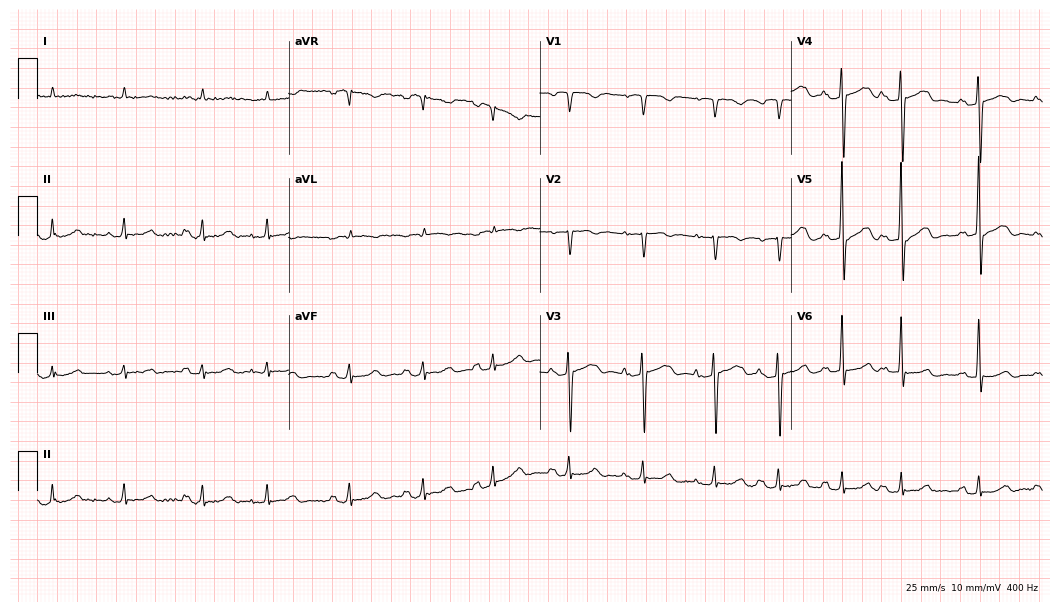
Standard 12-lead ECG recorded from a male patient, 81 years old. None of these six findings is recorded: first-degree AV block, right bundle branch block, left bundle branch block, sinus bradycardia, atrial fibrillation, sinus tachycardia.